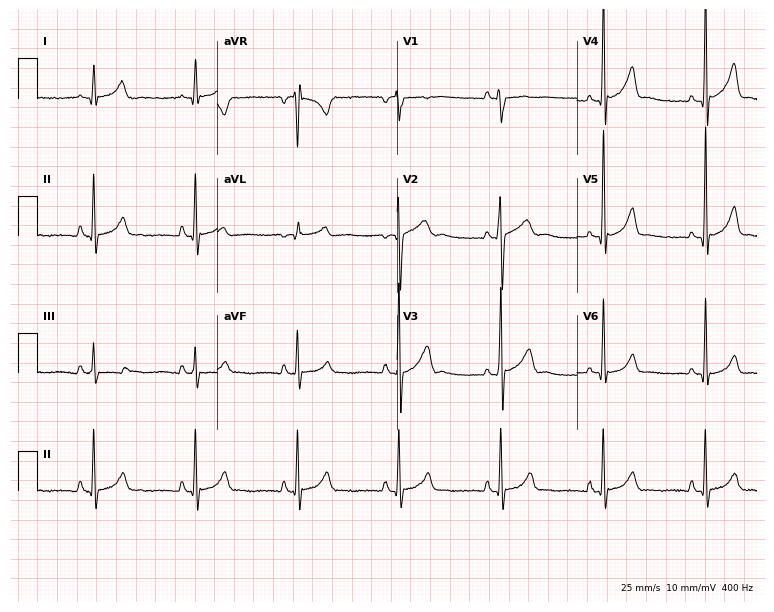
12-lead ECG from a 17-year-old male (7.3-second recording at 400 Hz). Recorded interpretation: within normal limits.